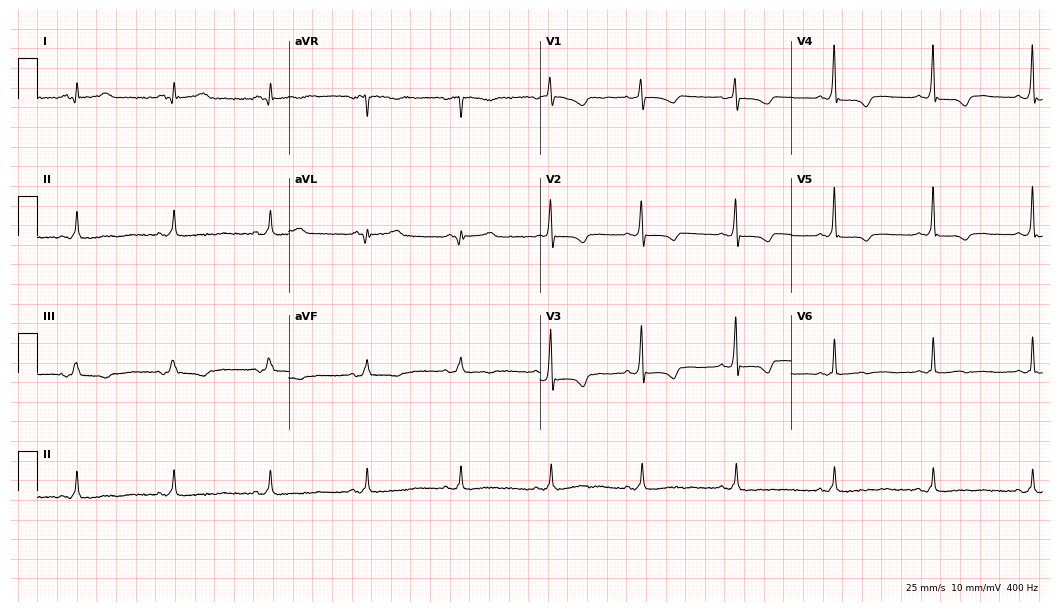
Electrocardiogram (10.2-second recording at 400 Hz), a 73-year-old woman. Of the six screened findings (first-degree AV block, right bundle branch block (RBBB), left bundle branch block (LBBB), sinus bradycardia, atrial fibrillation (AF), sinus tachycardia), none is recorded. Findings outside these six are not listed.